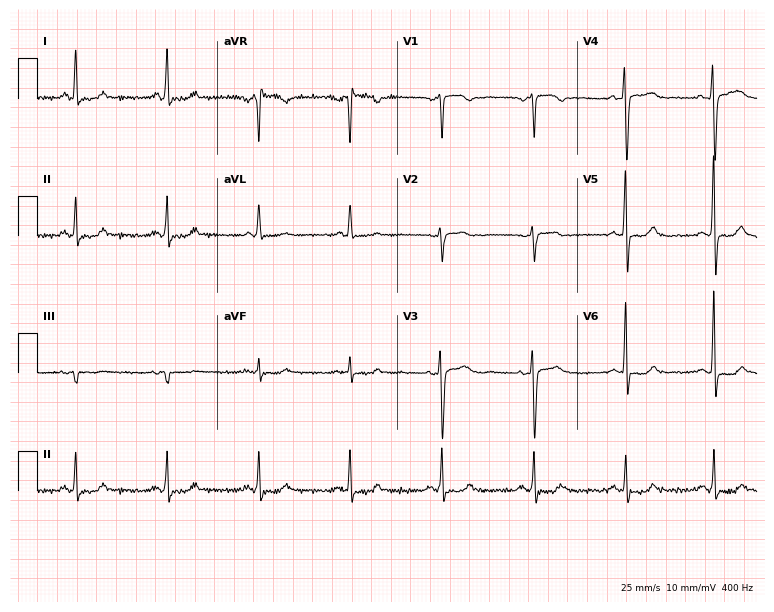
Electrocardiogram (7.3-second recording at 400 Hz), a woman, 48 years old. Of the six screened findings (first-degree AV block, right bundle branch block (RBBB), left bundle branch block (LBBB), sinus bradycardia, atrial fibrillation (AF), sinus tachycardia), none is recorded.